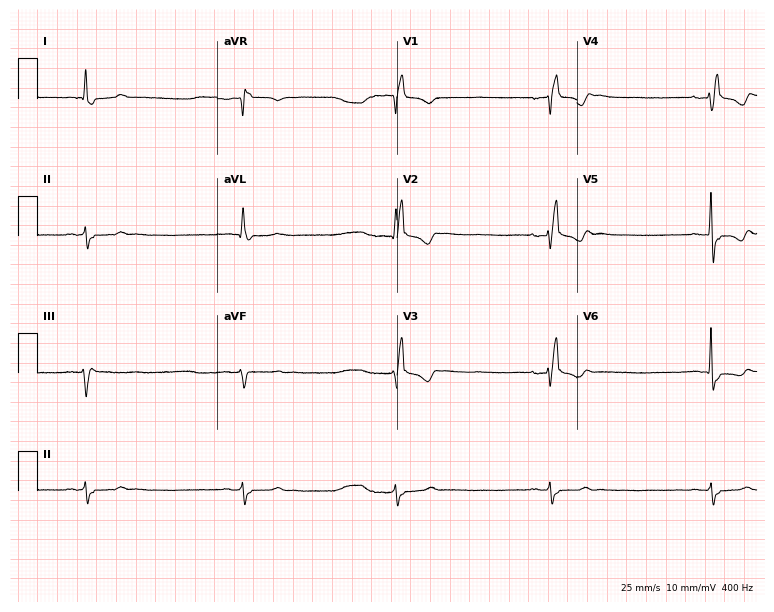
Standard 12-lead ECG recorded from an 83-year-old woman. The tracing shows right bundle branch block, sinus bradycardia (a sinus rate of 50 beats per minute or less).